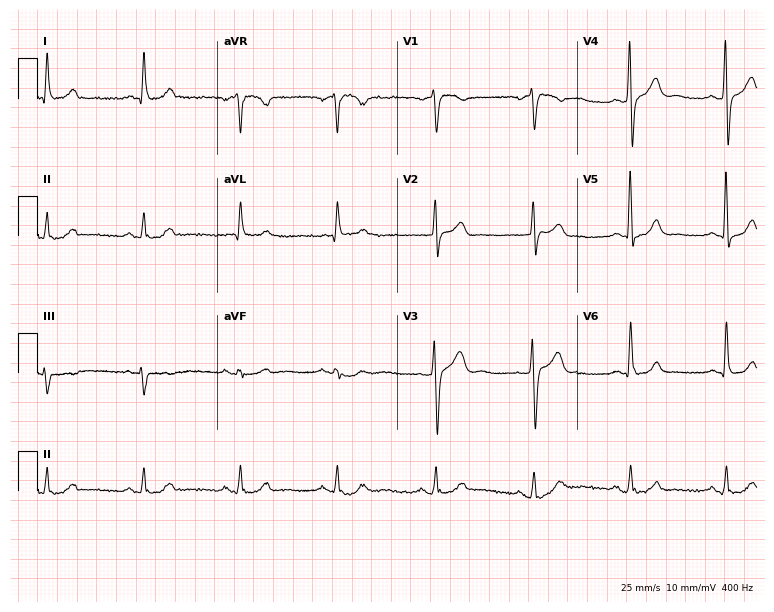
Electrocardiogram, a male patient, 60 years old. Overall reading on record: normal ECG.